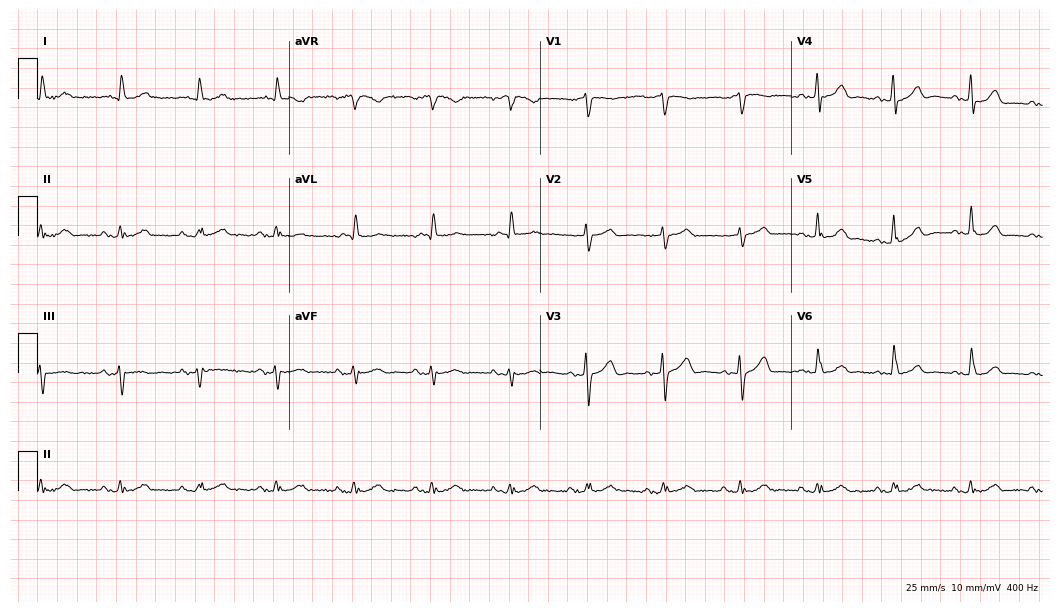
ECG (10.2-second recording at 400 Hz) — a 78-year-old male patient. Screened for six findings — first-degree AV block, right bundle branch block (RBBB), left bundle branch block (LBBB), sinus bradycardia, atrial fibrillation (AF), sinus tachycardia — none is recorded.